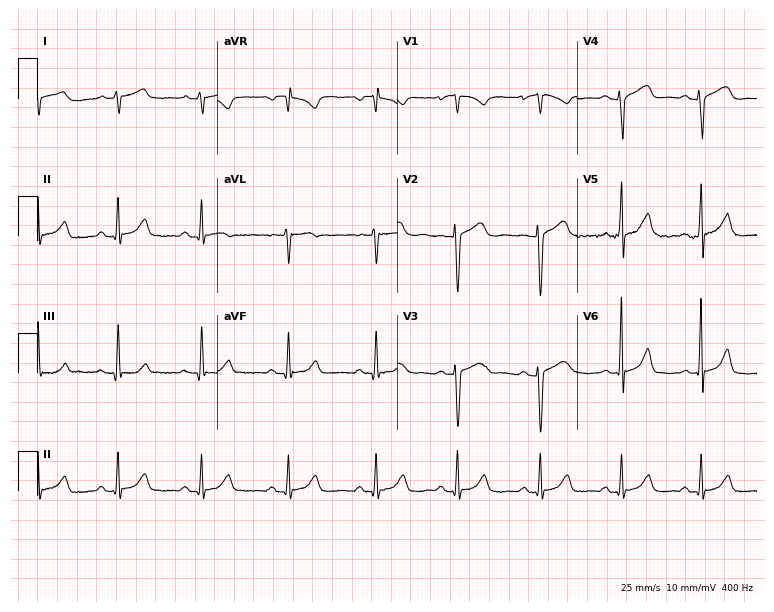
ECG — a 30-year-old female patient. Screened for six findings — first-degree AV block, right bundle branch block, left bundle branch block, sinus bradycardia, atrial fibrillation, sinus tachycardia — none is recorded.